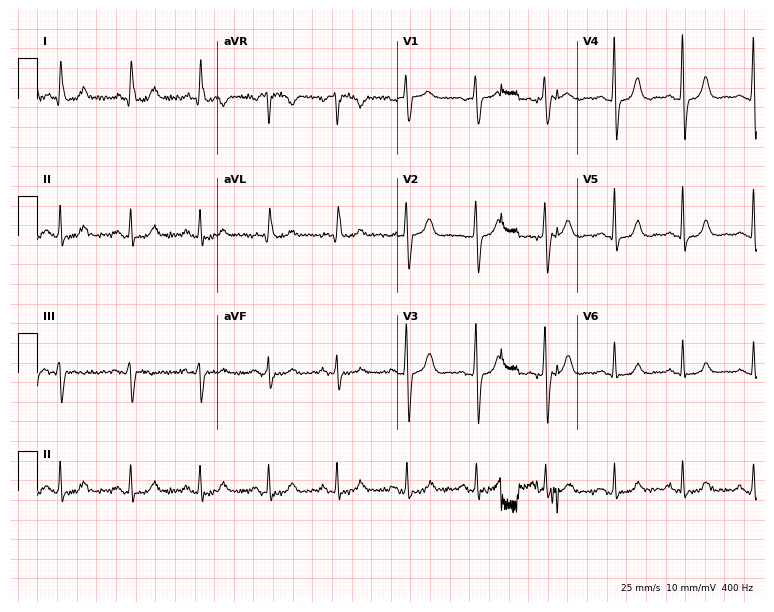
12-lead ECG from a woman, 63 years old. Labelled as a normal ECG.